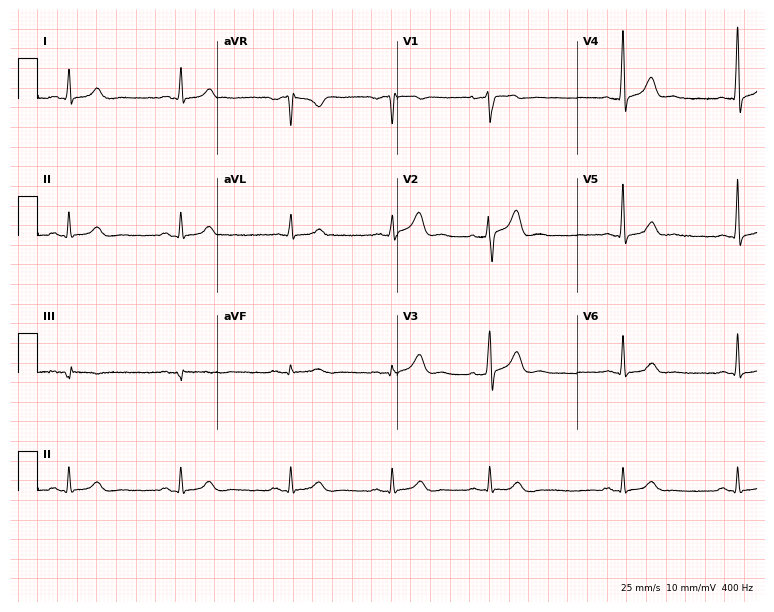
Standard 12-lead ECG recorded from a male patient, 41 years old (7.3-second recording at 400 Hz). Read as a normal ECG.